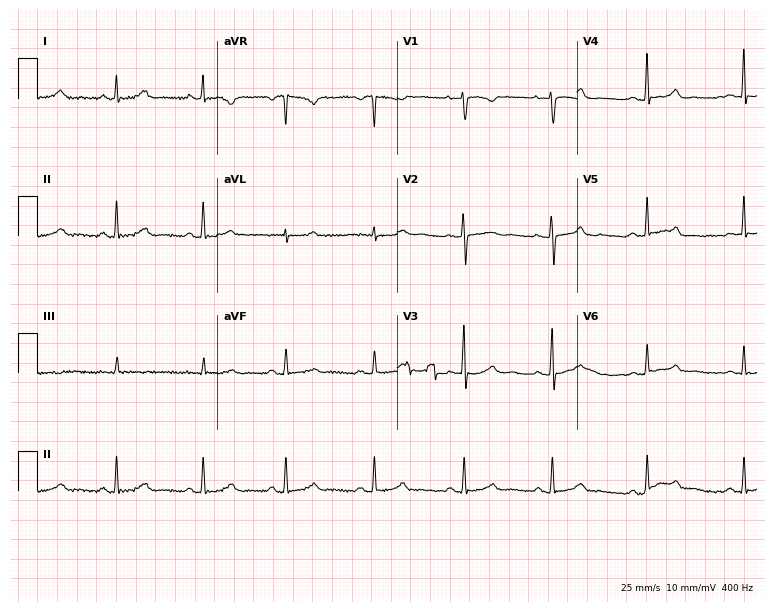
Electrocardiogram, a 36-year-old female. Of the six screened findings (first-degree AV block, right bundle branch block, left bundle branch block, sinus bradycardia, atrial fibrillation, sinus tachycardia), none is recorded.